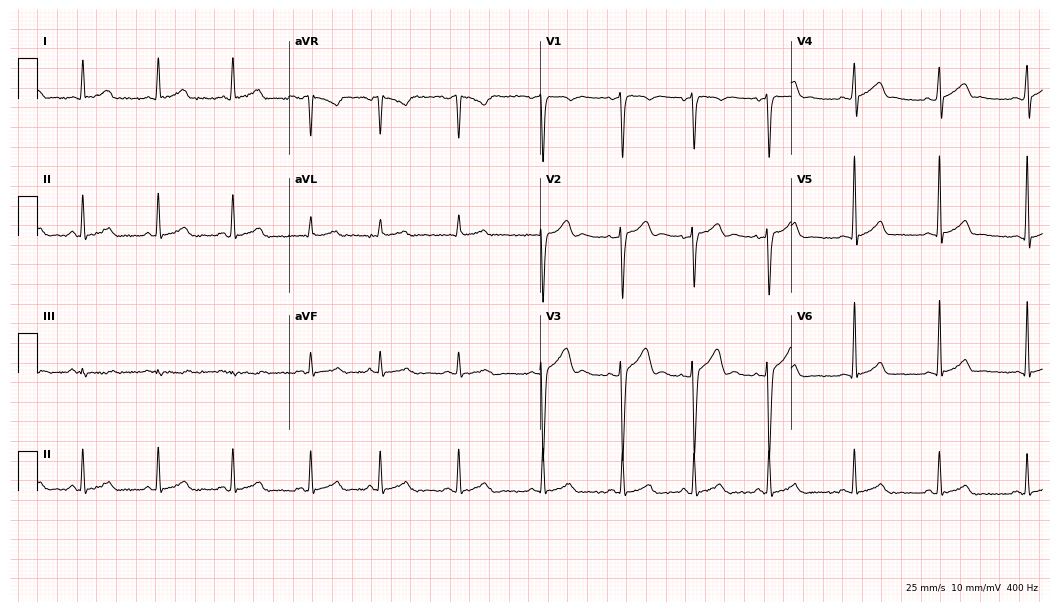
Electrocardiogram (10.2-second recording at 400 Hz), a male patient, 30 years old. Of the six screened findings (first-degree AV block, right bundle branch block, left bundle branch block, sinus bradycardia, atrial fibrillation, sinus tachycardia), none is recorded.